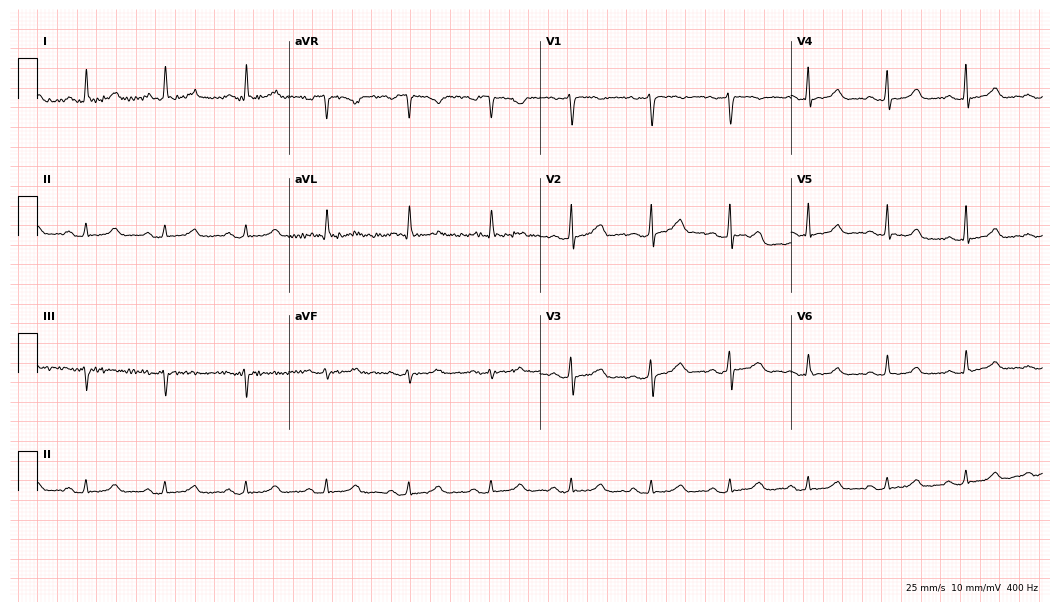
12-lead ECG (10.2-second recording at 400 Hz) from a female patient, 68 years old. Labelled as a normal ECG.